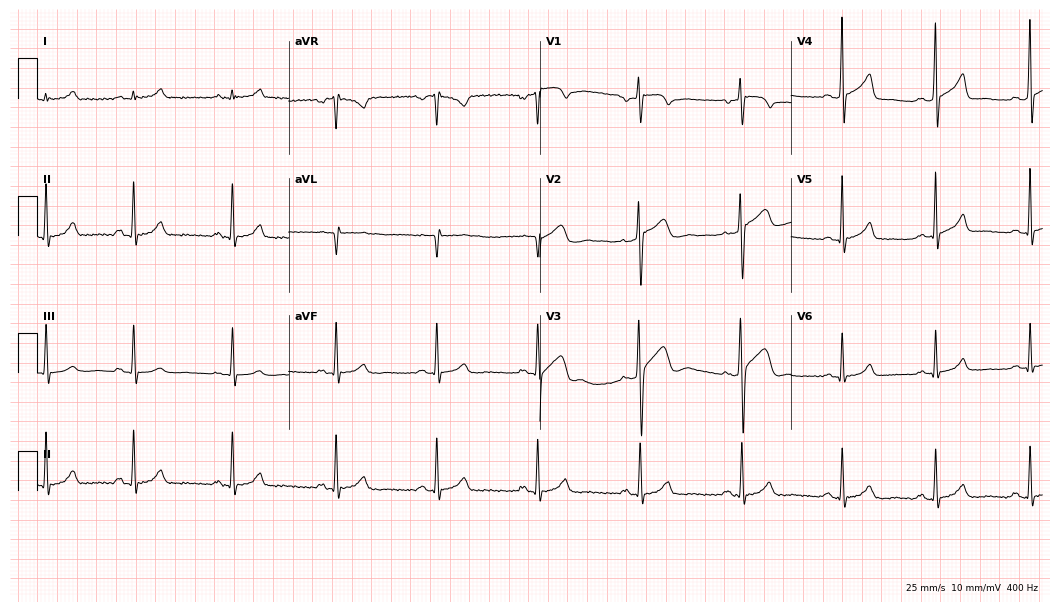
Standard 12-lead ECG recorded from a male, 37 years old. Read as a normal ECG.